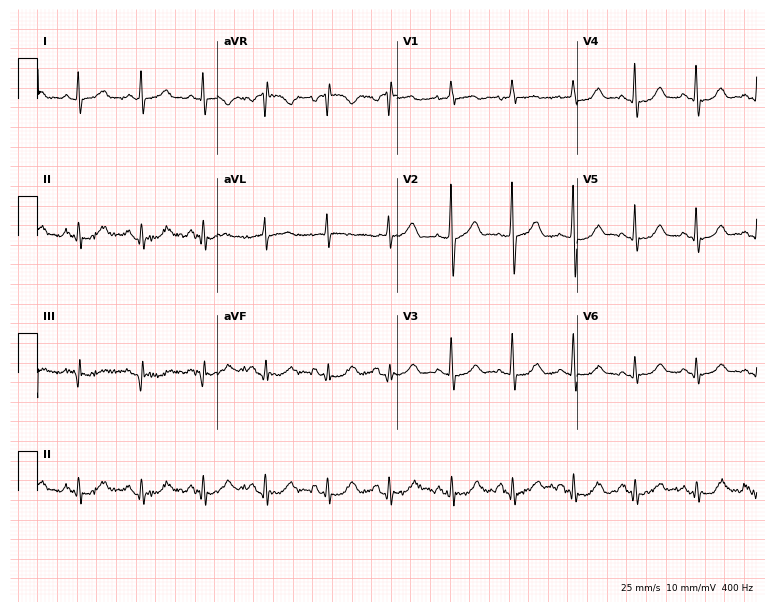
ECG — a female, 68 years old. Screened for six findings — first-degree AV block, right bundle branch block, left bundle branch block, sinus bradycardia, atrial fibrillation, sinus tachycardia — none is recorded.